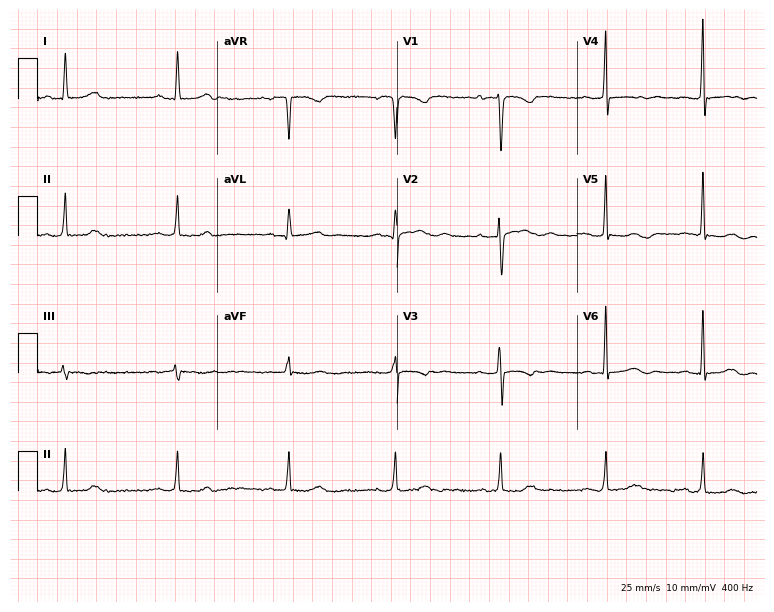
Resting 12-lead electrocardiogram (7.3-second recording at 400 Hz). Patient: a female, 41 years old. None of these six findings is recorded: first-degree AV block, right bundle branch block, left bundle branch block, sinus bradycardia, atrial fibrillation, sinus tachycardia.